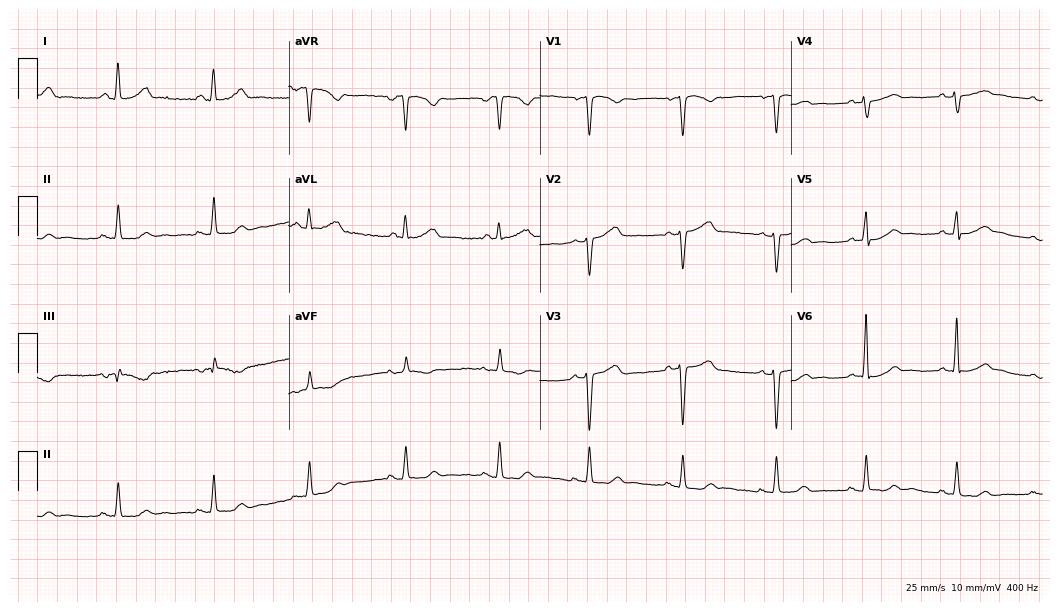
Resting 12-lead electrocardiogram. Patient: a woman, 59 years old. Read as a normal ECG.